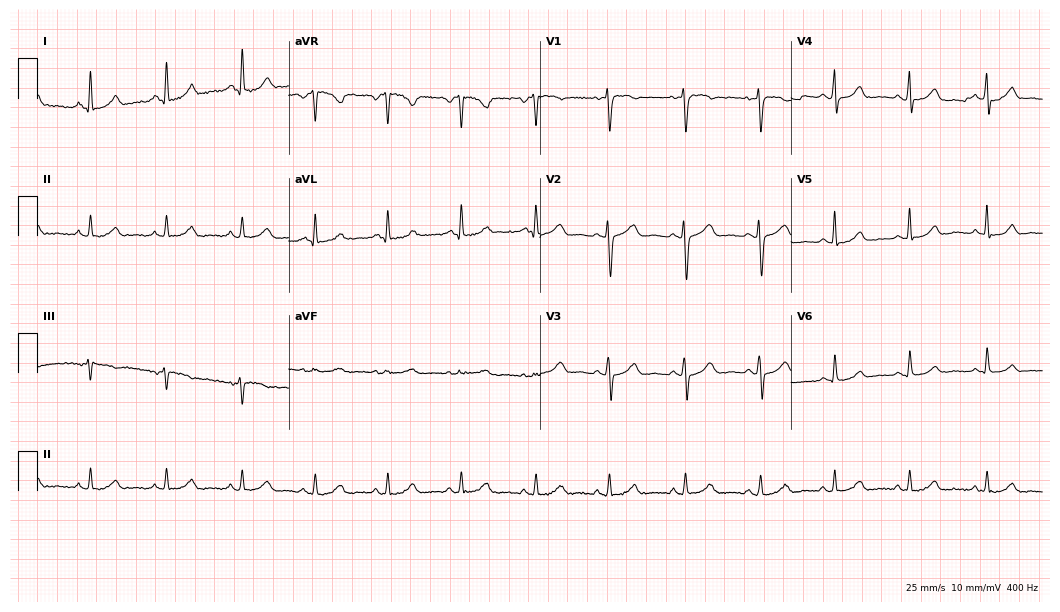
12-lead ECG from a 40-year-old female patient (10.2-second recording at 400 Hz). Recorded interpretation: within normal limits.